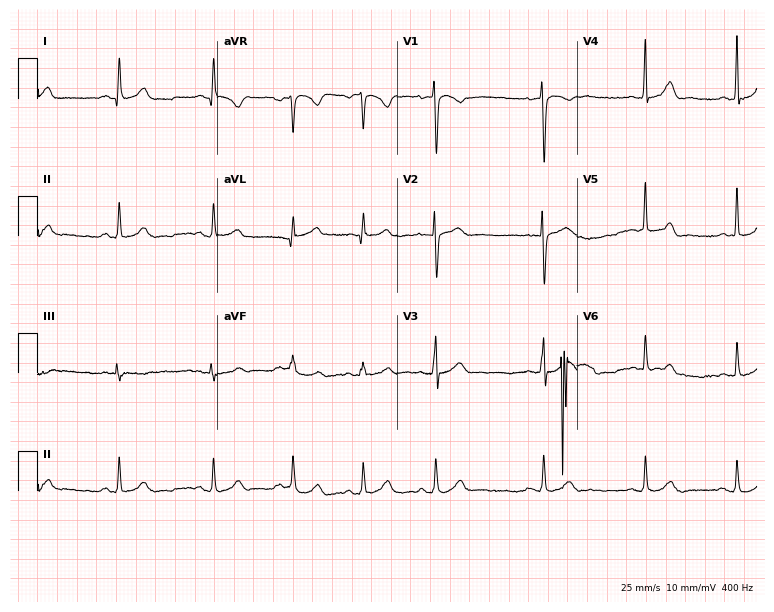
12-lead ECG from a female, 17 years old (7.3-second recording at 400 Hz). Recorded interpretation: within normal limits.